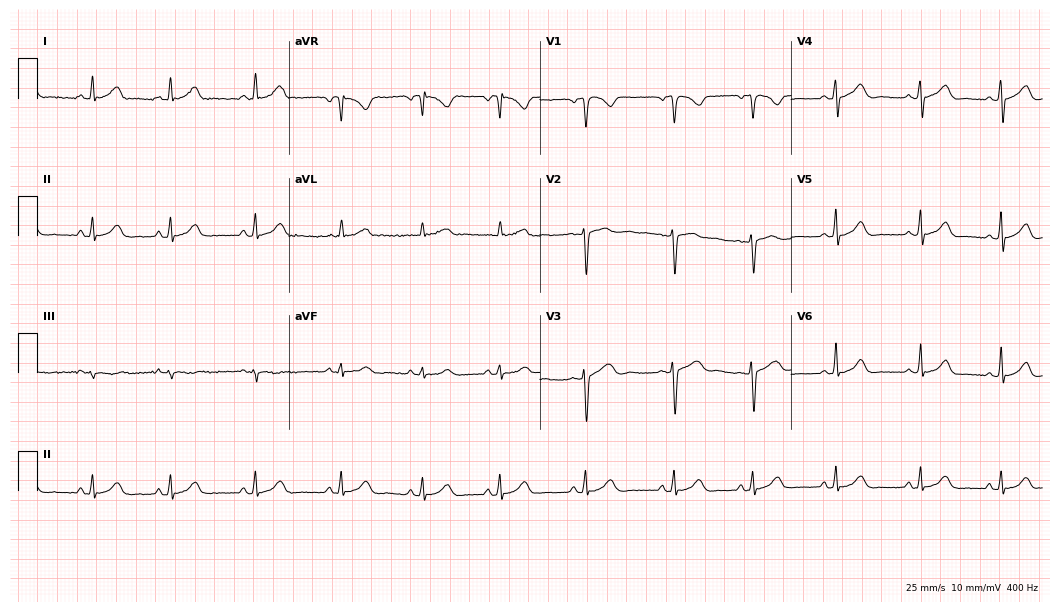
ECG — a 27-year-old woman. Labelled as a normal ECG.